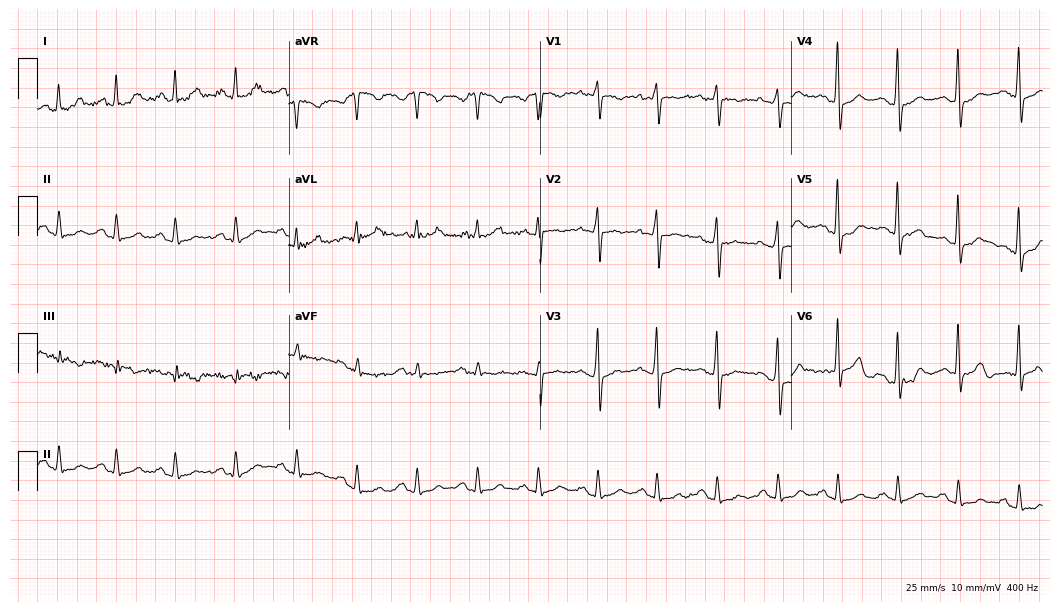
Electrocardiogram (10.2-second recording at 400 Hz), a female patient, 43 years old. Overall reading on record: normal ECG.